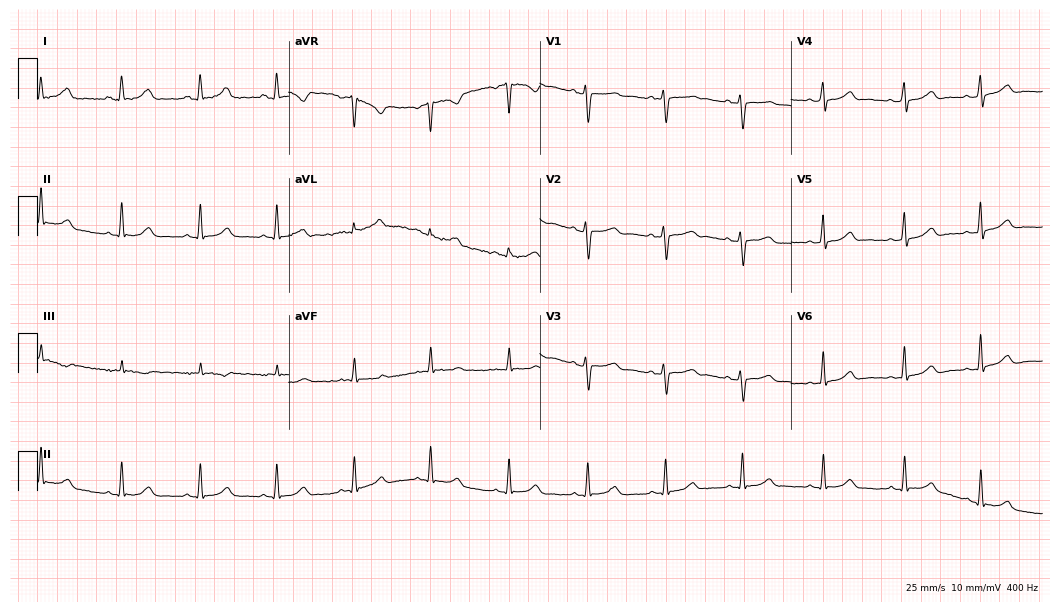
Standard 12-lead ECG recorded from a 45-year-old woman (10.2-second recording at 400 Hz). Read as a normal ECG.